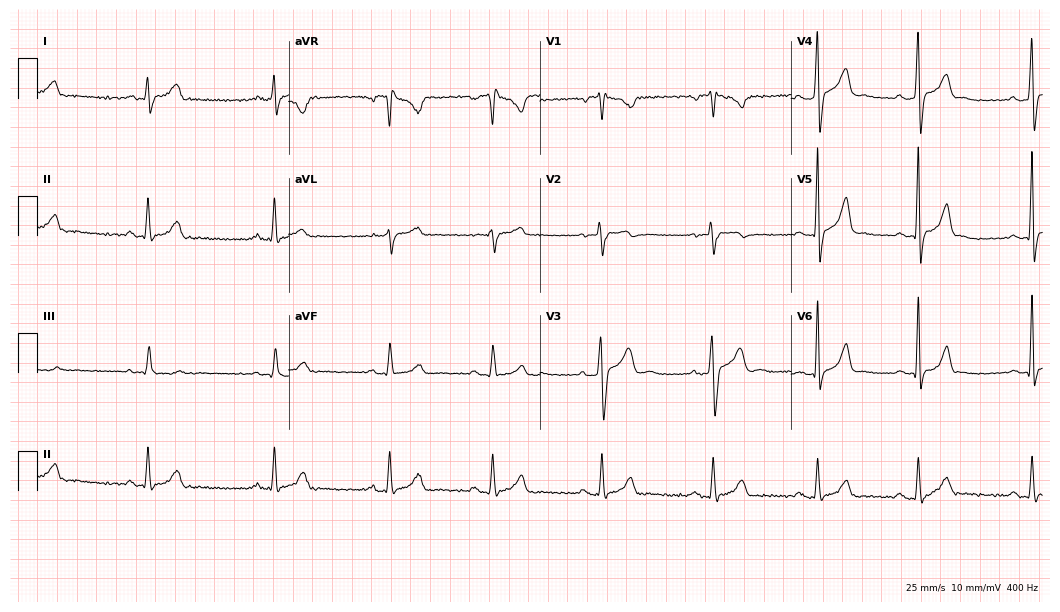
Electrocardiogram (10.2-second recording at 400 Hz), a male, 29 years old. Of the six screened findings (first-degree AV block, right bundle branch block, left bundle branch block, sinus bradycardia, atrial fibrillation, sinus tachycardia), none is recorded. Only these six findings were labelled.